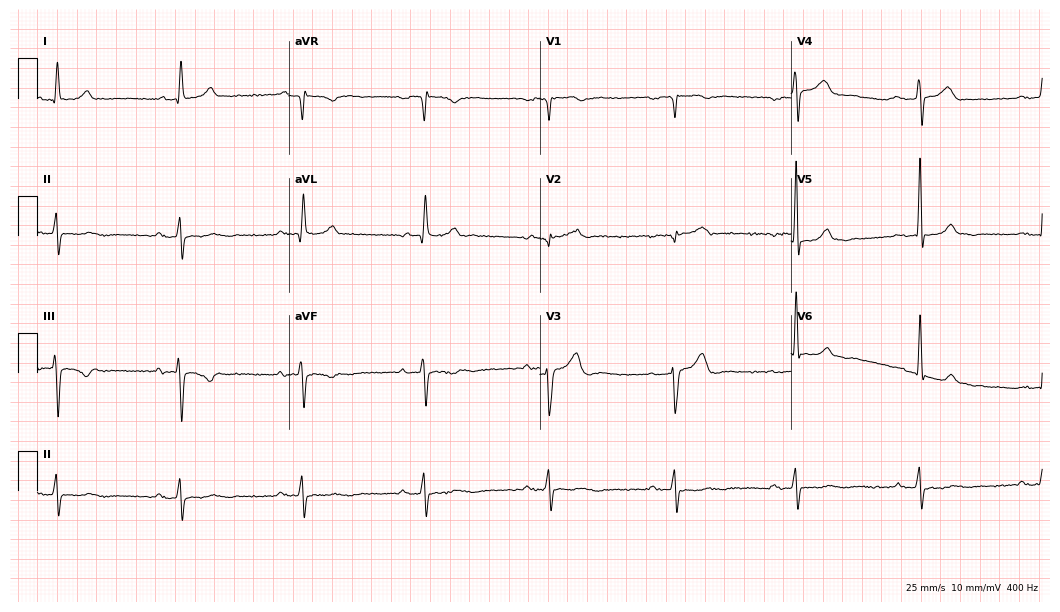
Resting 12-lead electrocardiogram (10.2-second recording at 400 Hz). Patient: a 75-year-old male. None of these six findings is recorded: first-degree AV block, right bundle branch block, left bundle branch block, sinus bradycardia, atrial fibrillation, sinus tachycardia.